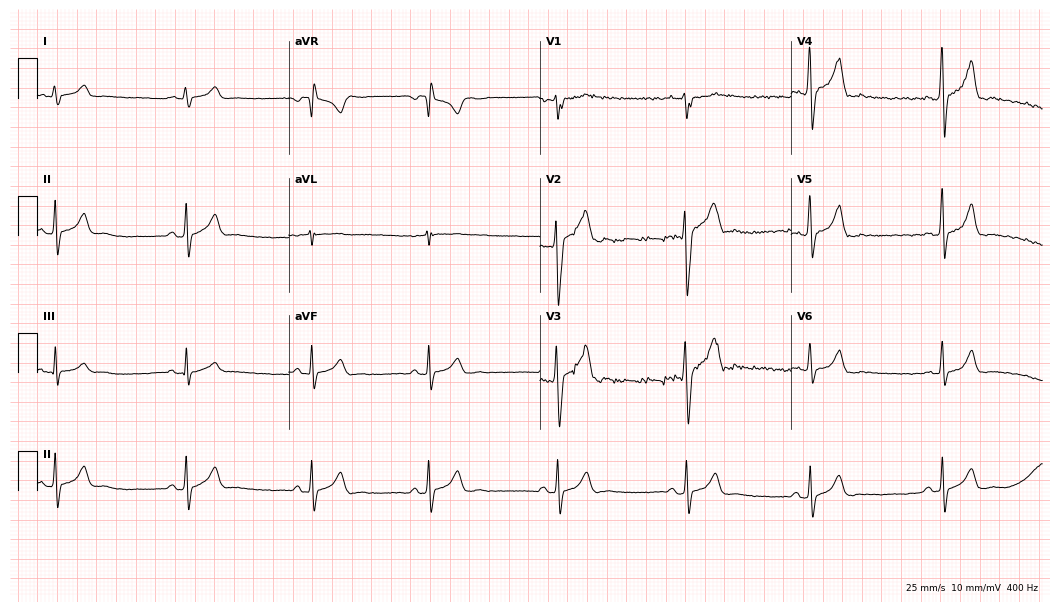
Standard 12-lead ECG recorded from a male, 29 years old. The tracing shows sinus bradycardia (a sinus rate of 50 beats per minute or less).